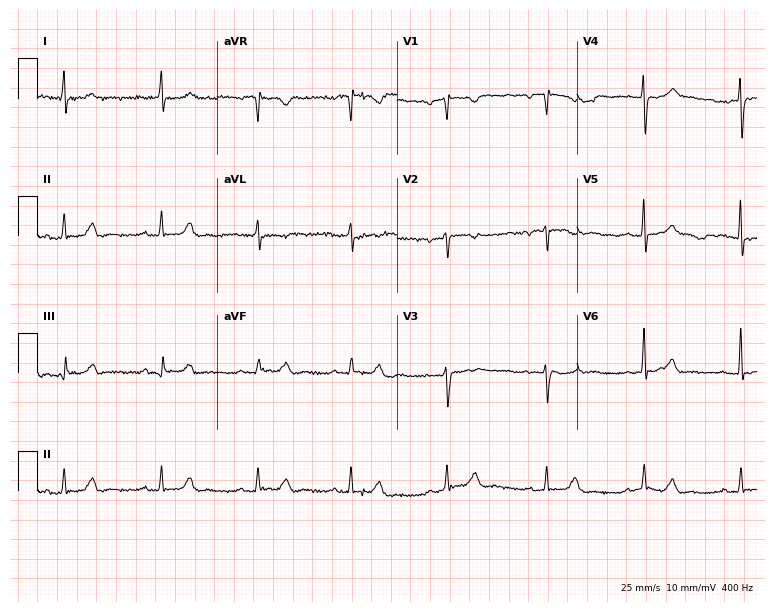
Standard 12-lead ECG recorded from a female, 38 years old. Read as a normal ECG.